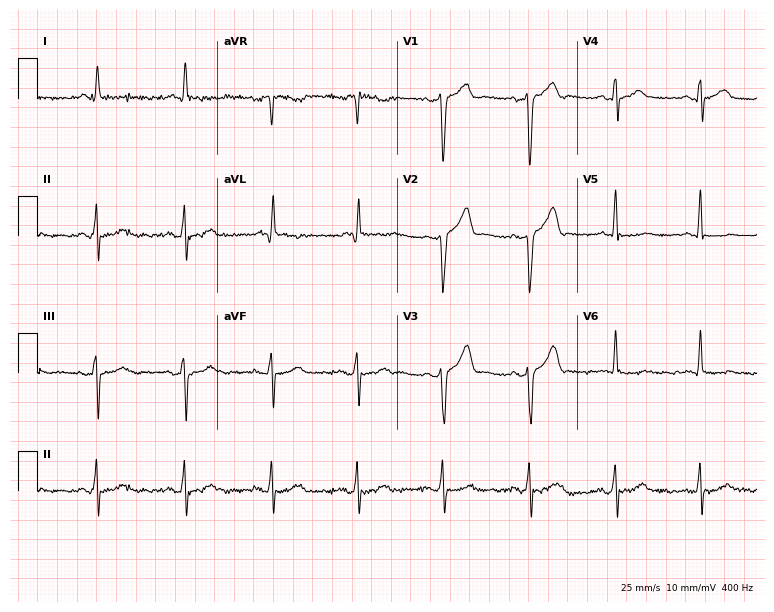
Electrocardiogram, a man, 69 years old. Of the six screened findings (first-degree AV block, right bundle branch block, left bundle branch block, sinus bradycardia, atrial fibrillation, sinus tachycardia), none is recorded.